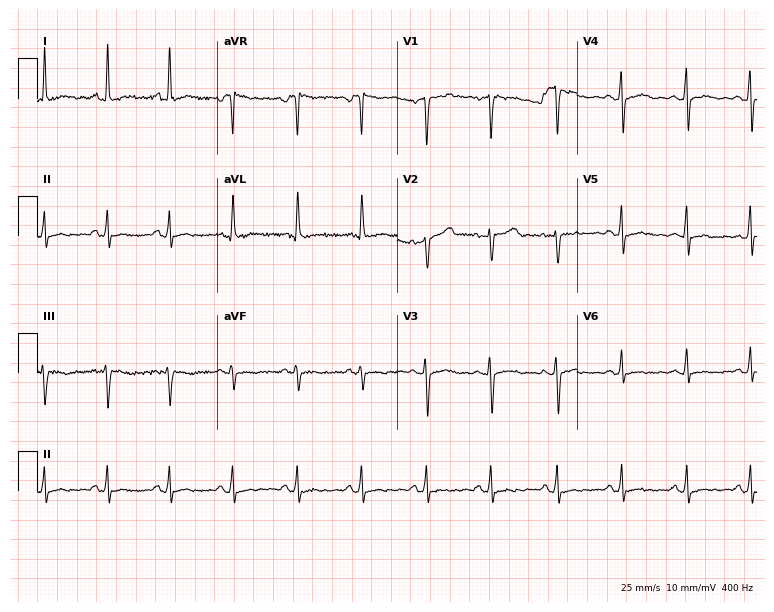
12-lead ECG from a 51-year-old woman. Screened for six findings — first-degree AV block, right bundle branch block, left bundle branch block, sinus bradycardia, atrial fibrillation, sinus tachycardia — none is recorded. Only these six findings were labelled.